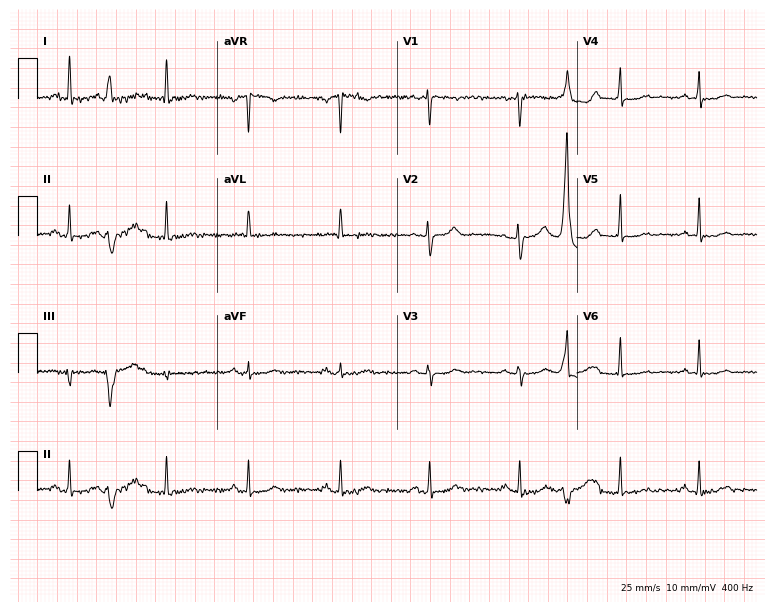
Electrocardiogram (7.3-second recording at 400 Hz), a female patient, 48 years old. Of the six screened findings (first-degree AV block, right bundle branch block (RBBB), left bundle branch block (LBBB), sinus bradycardia, atrial fibrillation (AF), sinus tachycardia), none is recorded.